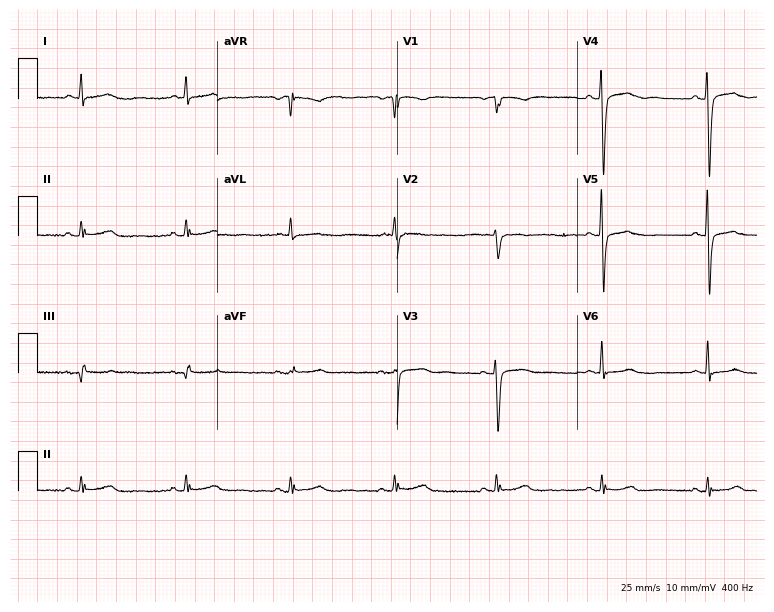
12-lead ECG from a 75-year-old man. No first-degree AV block, right bundle branch block, left bundle branch block, sinus bradycardia, atrial fibrillation or sinus tachycardia recorded for this tracing.